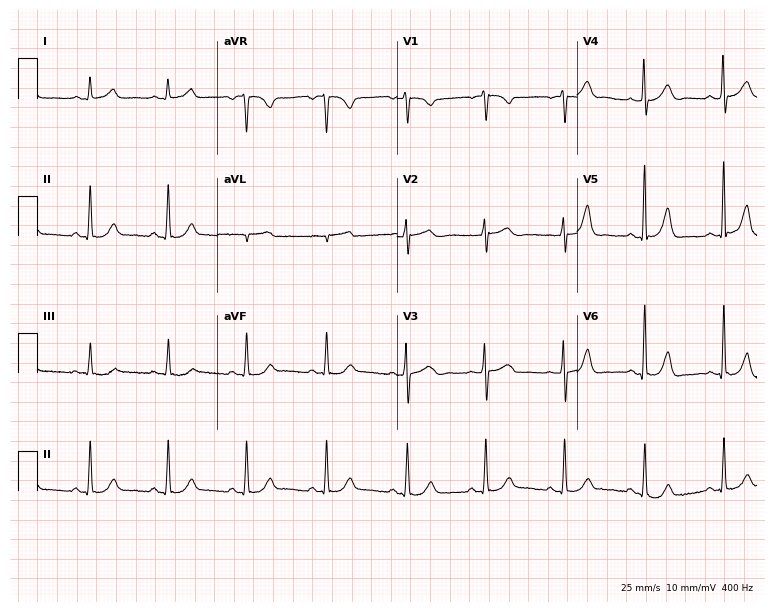
12-lead ECG from a 56-year-old woman. Labelled as a normal ECG.